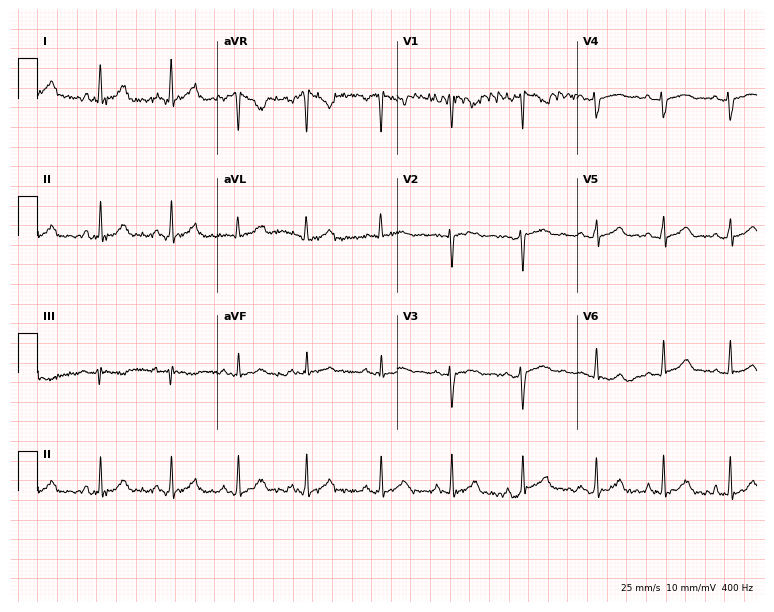
Resting 12-lead electrocardiogram (7.3-second recording at 400 Hz). Patient: a 40-year-old female. None of these six findings is recorded: first-degree AV block, right bundle branch block, left bundle branch block, sinus bradycardia, atrial fibrillation, sinus tachycardia. Other findings, if any, are not listed.